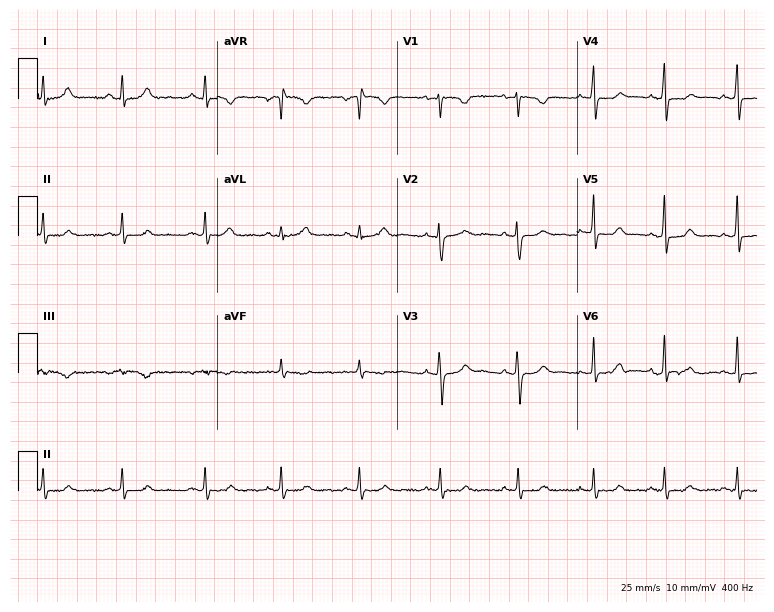
Electrocardiogram, a 25-year-old woman. Of the six screened findings (first-degree AV block, right bundle branch block (RBBB), left bundle branch block (LBBB), sinus bradycardia, atrial fibrillation (AF), sinus tachycardia), none is recorded. Findings outside these six are not listed.